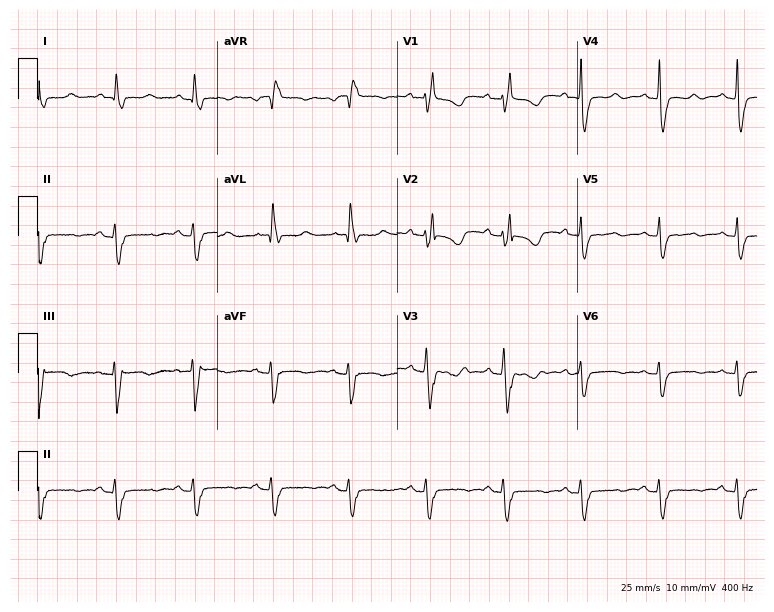
ECG (7.3-second recording at 400 Hz) — a 72-year-old female patient. Screened for six findings — first-degree AV block, right bundle branch block (RBBB), left bundle branch block (LBBB), sinus bradycardia, atrial fibrillation (AF), sinus tachycardia — none is recorded. Only these six findings were labelled.